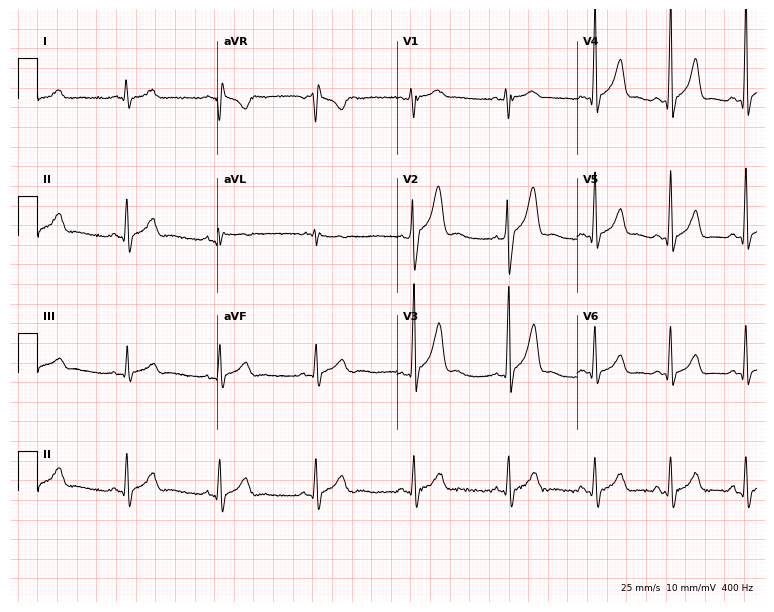
Standard 12-lead ECG recorded from a man, 23 years old. None of these six findings is recorded: first-degree AV block, right bundle branch block (RBBB), left bundle branch block (LBBB), sinus bradycardia, atrial fibrillation (AF), sinus tachycardia.